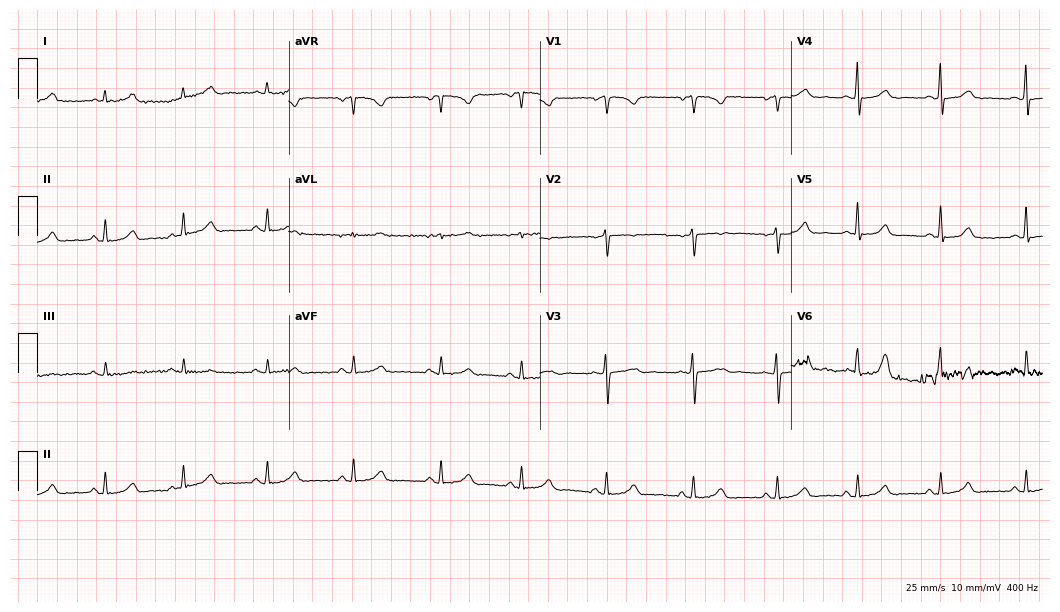
Electrocardiogram (10.2-second recording at 400 Hz), a 44-year-old woman. Overall reading on record: normal ECG.